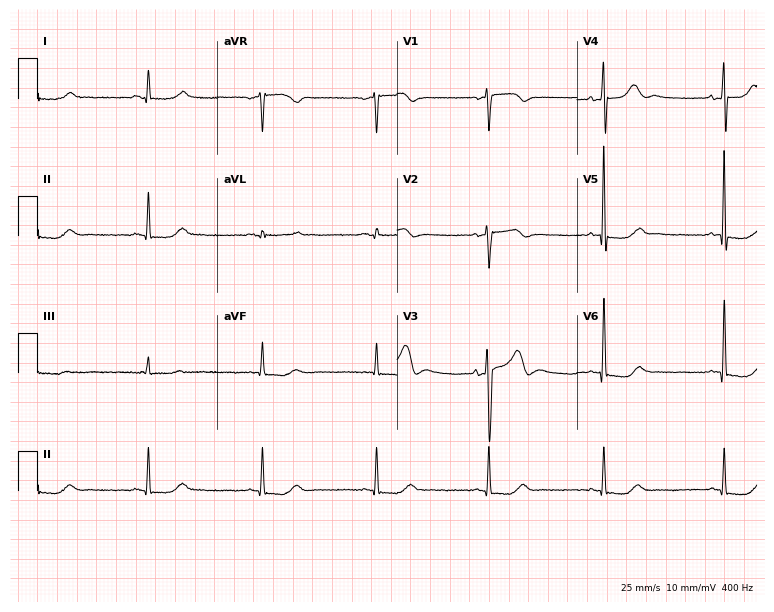
Standard 12-lead ECG recorded from a 53-year-old female (7.3-second recording at 400 Hz). Read as a normal ECG.